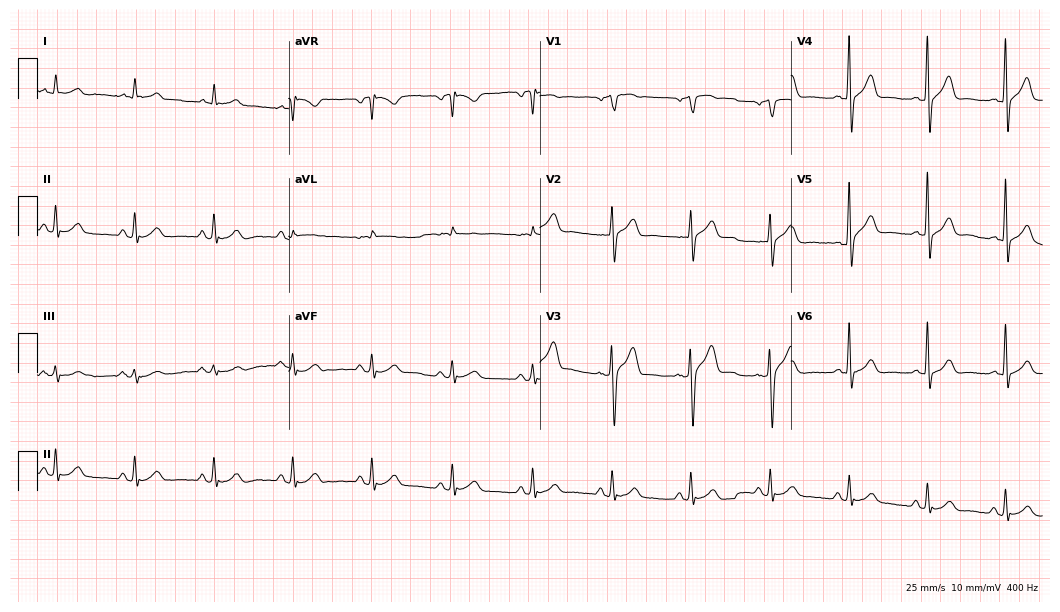
12-lead ECG from a man, 68 years old (10.2-second recording at 400 Hz). Recorded interpretation: within normal limits.